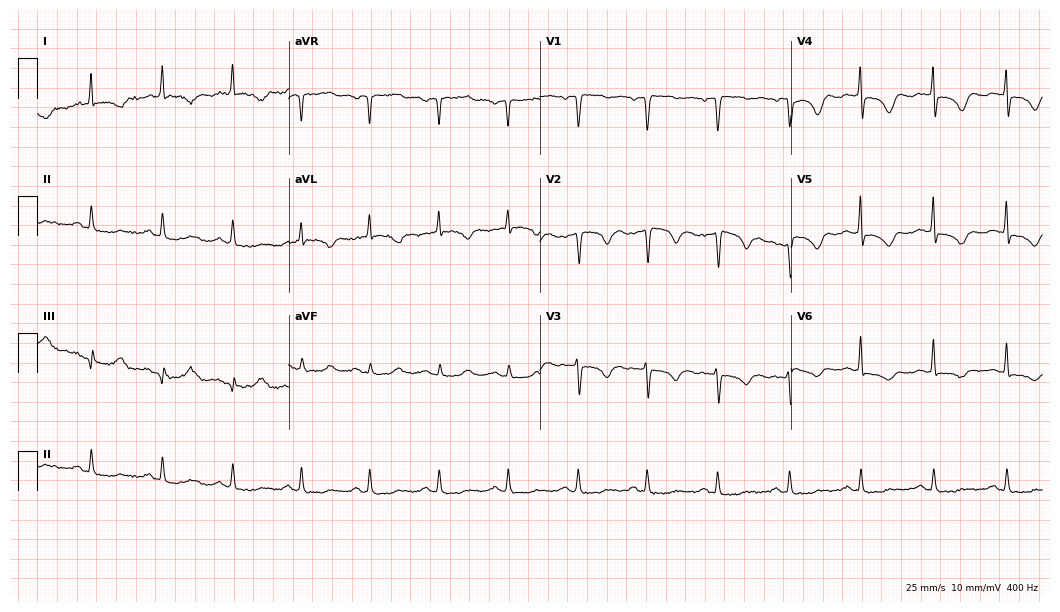
Electrocardiogram, a 60-year-old male patient. Of the six screened findings (first-degree AV block, right bundle branch block (RBBB), left bundle branch block (LBBB), sinus bradycardia, atrial fibrillation (AF), sinus tachycardia), none is recorded. Findings outside these six are not listed.